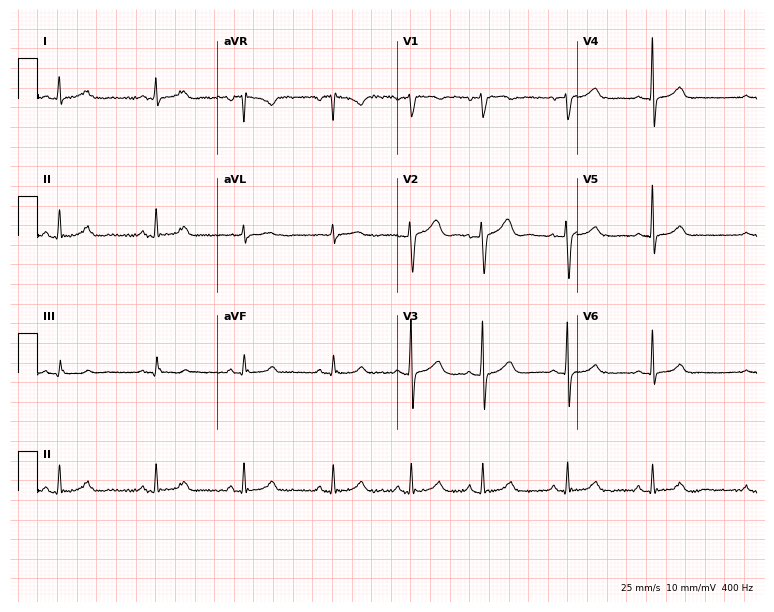
Standard 12-lead ECG recorded from a female, 38 years old (7.3-second recording at 400 Hz). Read as a normal ECG.